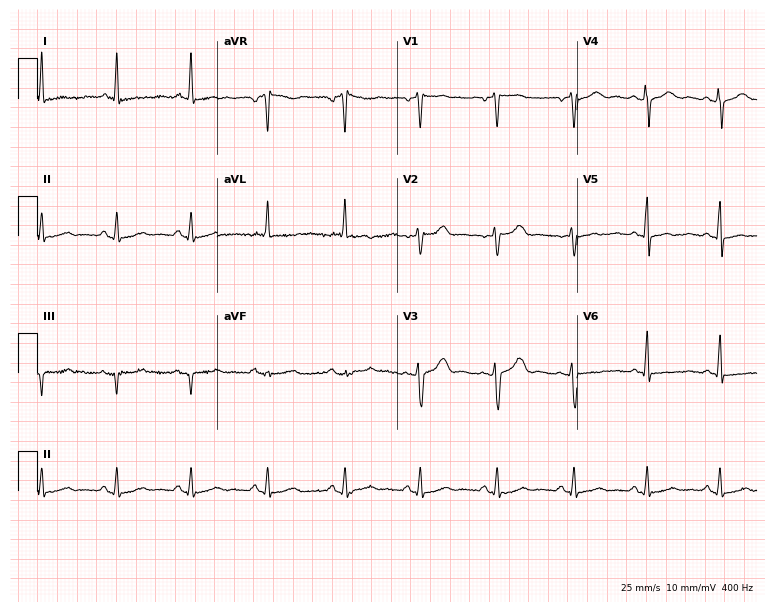
Resting 12-lead electrocardiogram (7.3-second recording at 400 Hz). Patient: a 40-year-old woman. None of these six findings is recorded: first-degree AV block, right bundle branch block, left bundle branch block, sinus bradycardia, atrial fibrillation, sinus tachycardia.